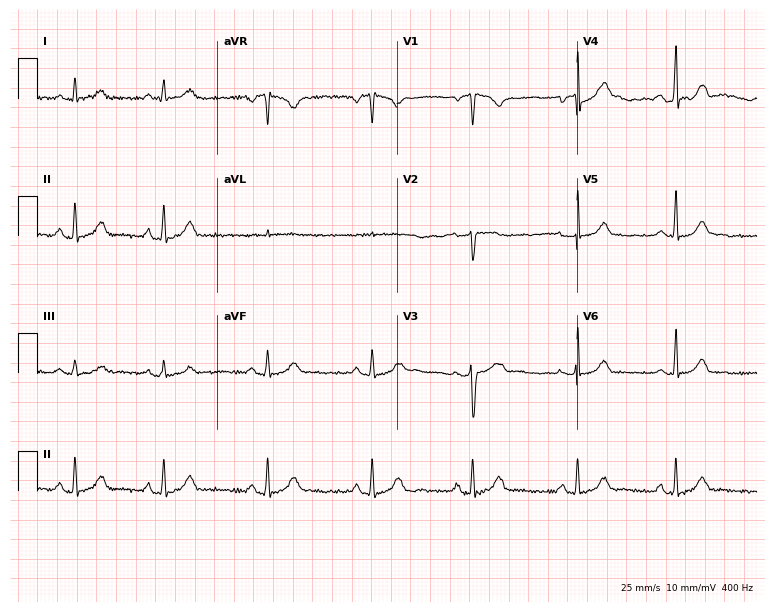
12-lead ECG from a 28-year-old woman. Recorded interpretation: within normal limits.